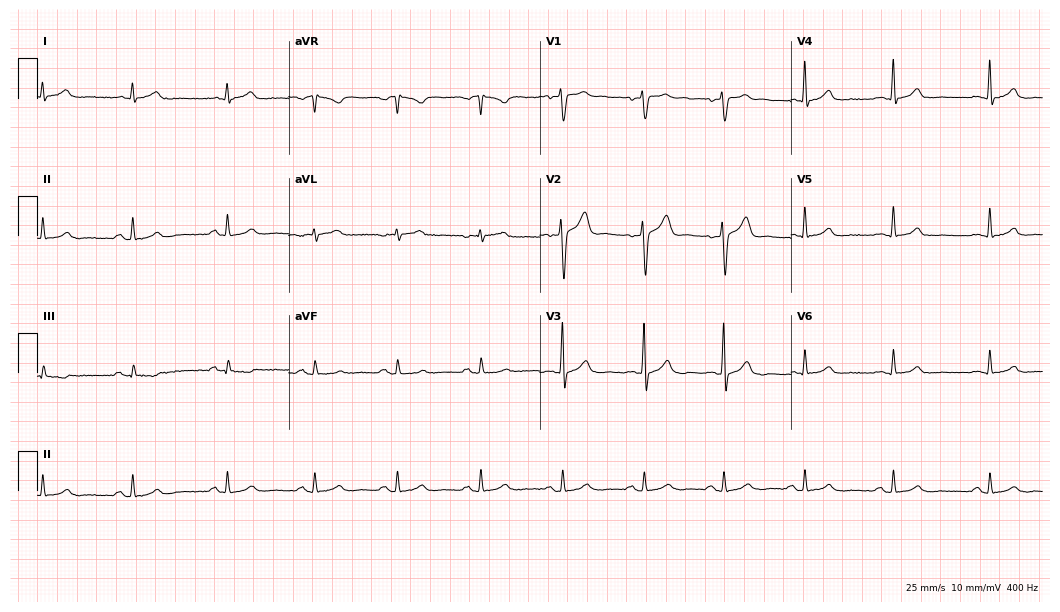
12-lead ECG from a male patient, 24 years old (10.2-second recording at 400 Hz). No first-degree AV block, right bundle branch block, left bundle branch block, sinus bradycardia, atrial fibrillation or sinus tachycardia recorded for this tracing.